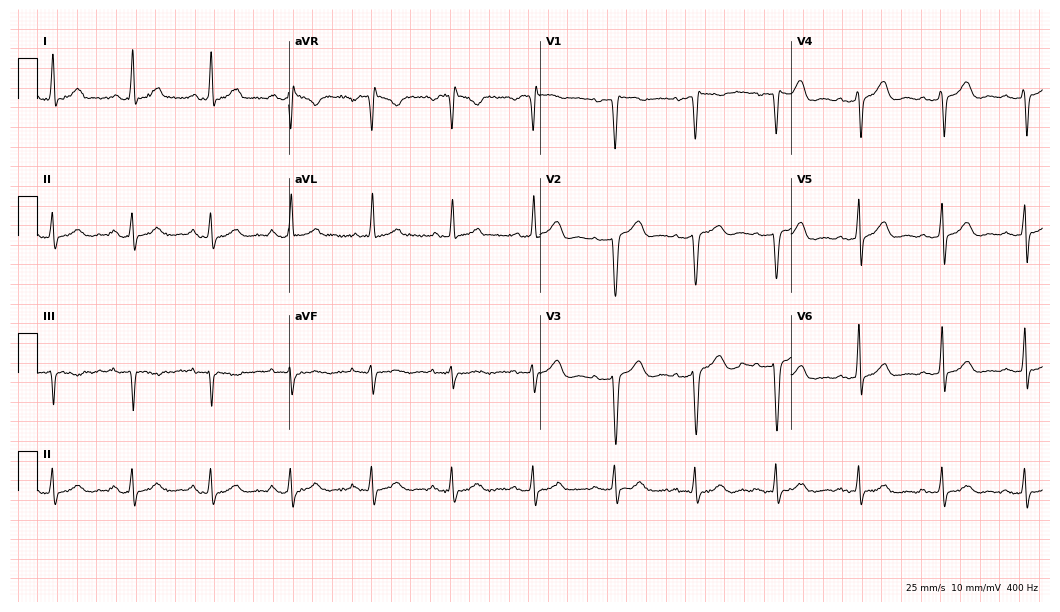
Standard 12-lead ECG recorded from a female patient, 68 years old. None of these six findings is recorded: first-degree AV block, right bundle branch block, left bundle branch block, sinus bradycardia, atrial fibrillation, sinus tachycardia.